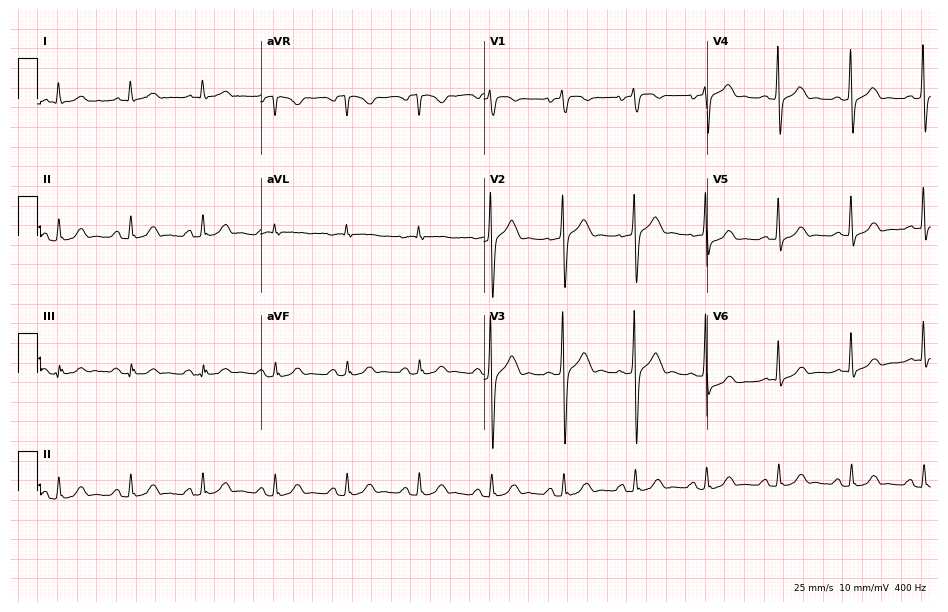
Electrocardiogram (9.1-second recording at 400 Hz), a 74-year-old male patient. Overall reading on record: normal ECG.